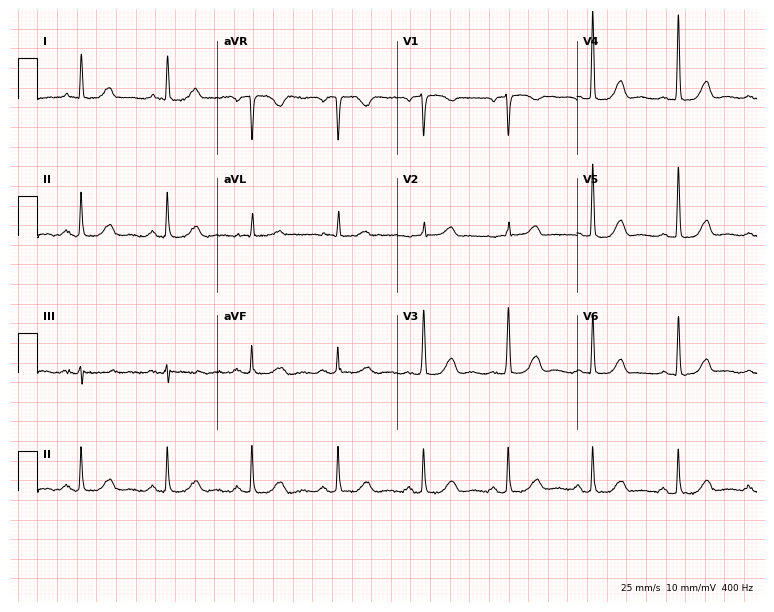
12-lead ECG (7.3-second recording at 400 Hz) from a woman, 83 years old. Labelled as a normal ECG.